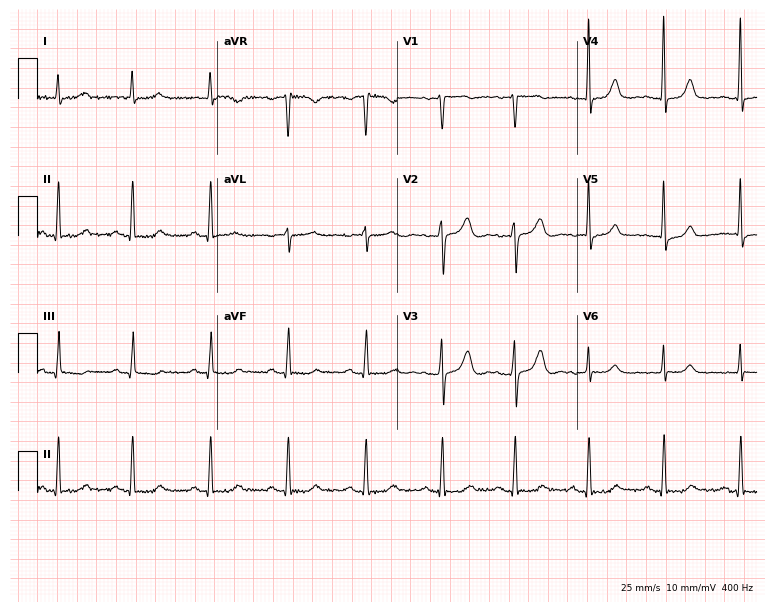
ECG (7.3-second recording at 400 Hz) — a 65-year-old woman. Labelled as a normal ECG.